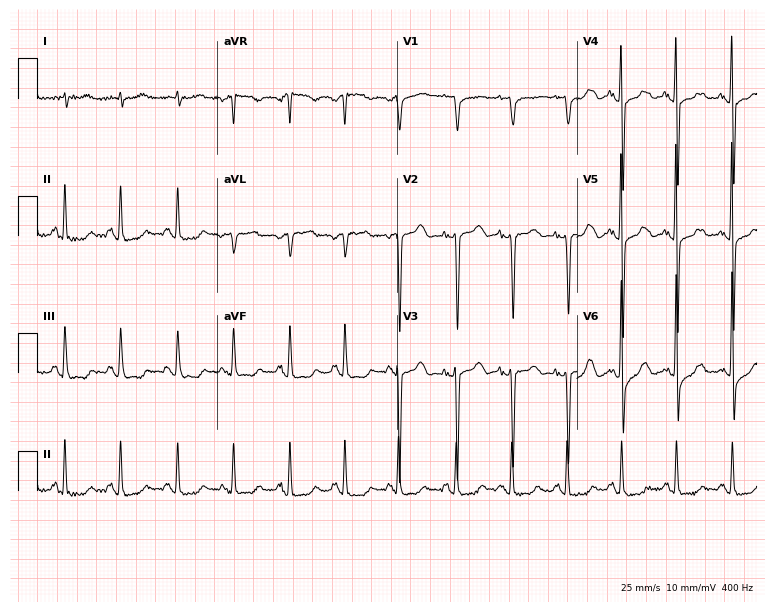
ECG — a 75-year-old female patient. Findings include sinus tachycardia (a sinus rate of 100 beats per minute or more).